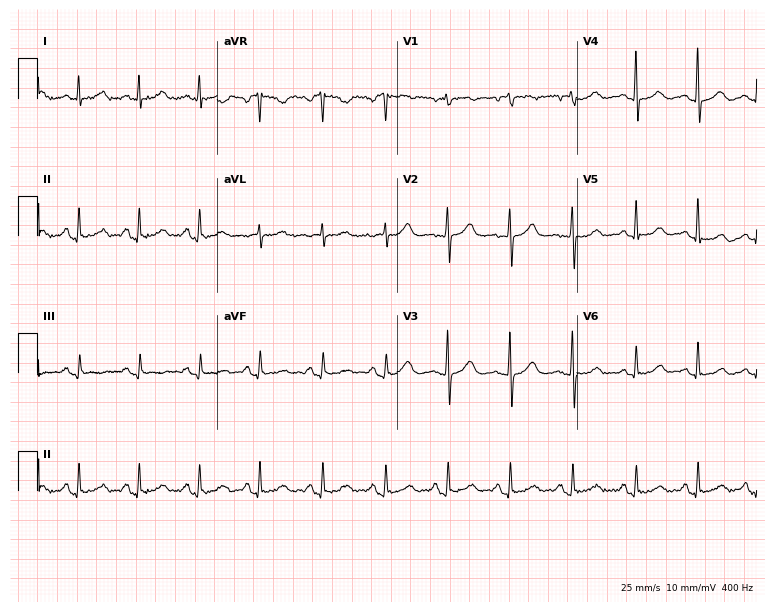
ECG — a woman, 60 years old. Labelled as a normal ECG.